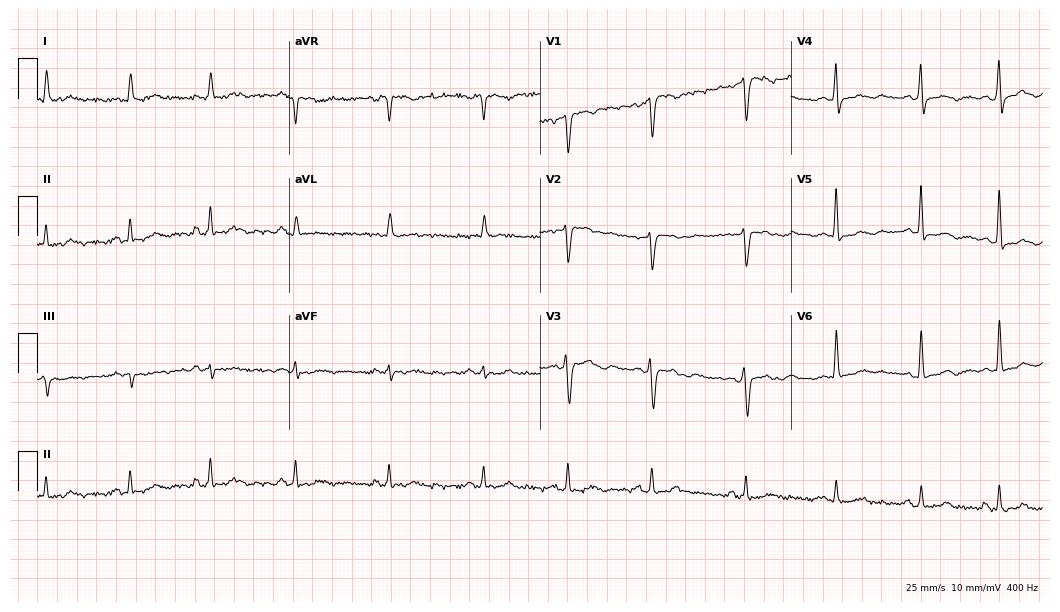
12-lead ECG from an 81-year-old male patient. No first-degree AV block, right bundle branch block, left bundle branch block, sinus bradycardia, atrial fibrillation or sinus tachycardia recorded for this tracing.